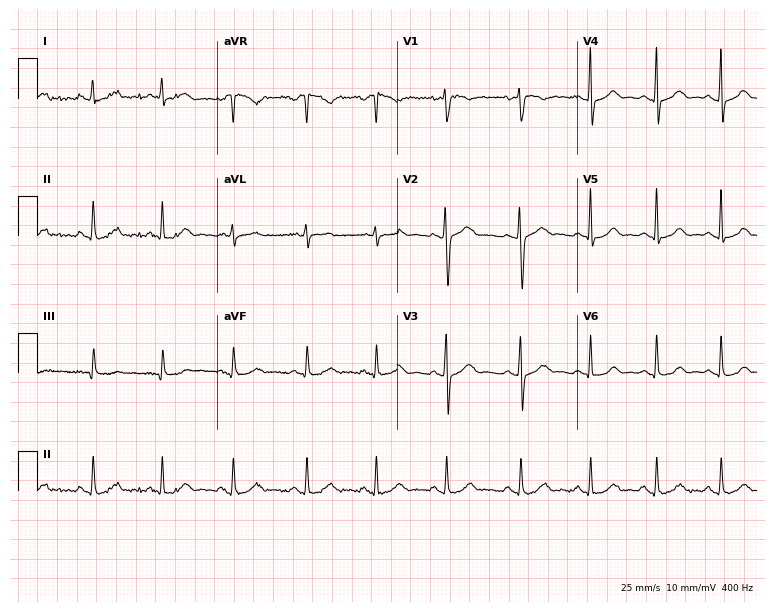
Resting 12-lead electrocardiogram (7.3-second recording at 400 Hz). Patient: a 41-year-old female. Read as a normal ECG.